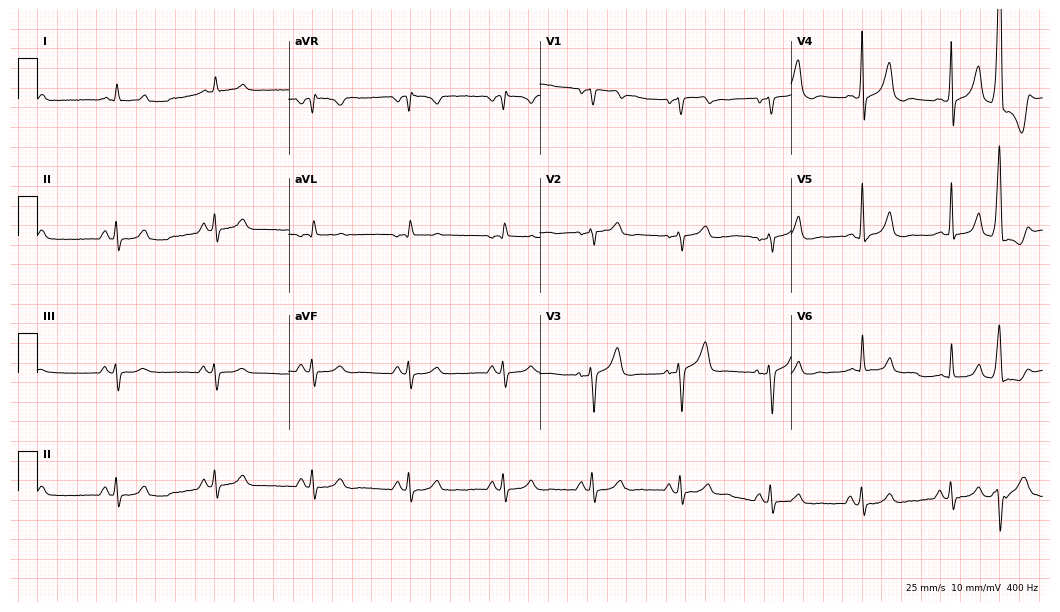
12-lead ECG from a man, 65 years old. Findings include sinus bradycardia (a sinus rate of 50 beats per minute or less).